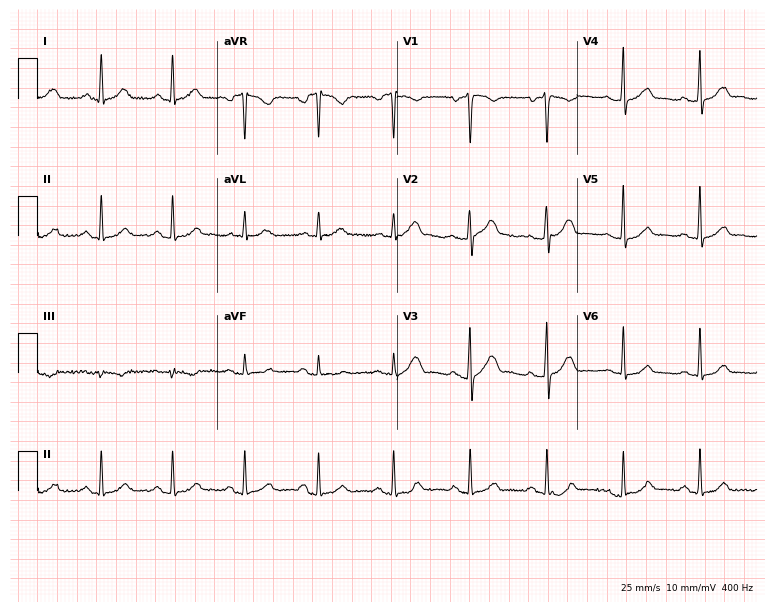
Electrocardiogram (7.3-second recording at 400 Hz), a male patient, 46 years old. Overall reading on record: normal ECG.